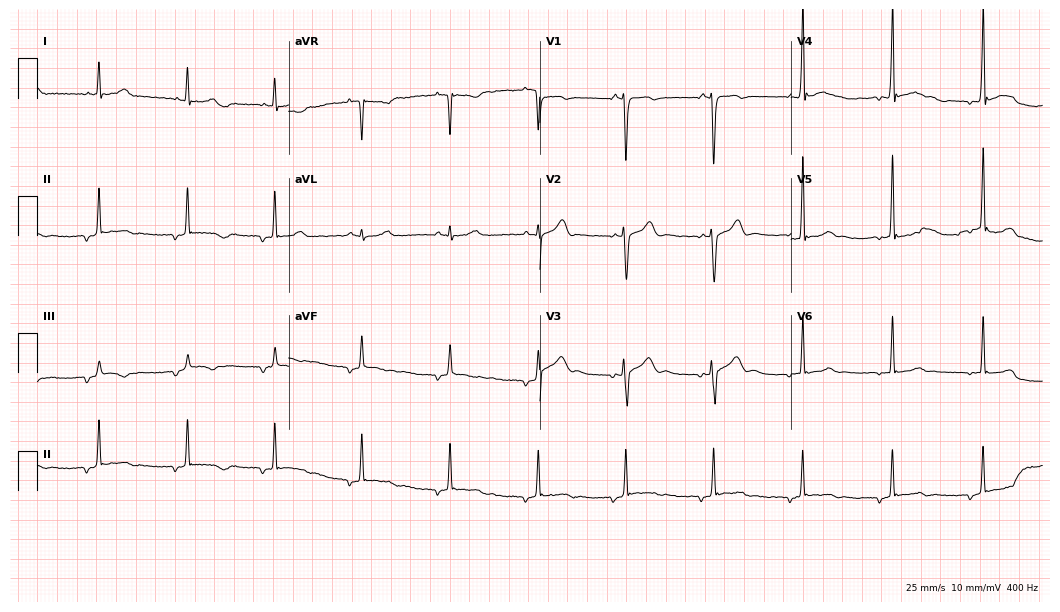
12-lead ECG (10.2-second recording at 400 Hz) from a 17-year-old male patient. Screened for six findings — first-degree AV block, right bundle branch block, left bundle branch block, sinus bradycardia, atrial fibrillation, sinus tachycardia — none is recorded. Findings outside these six are not listed.